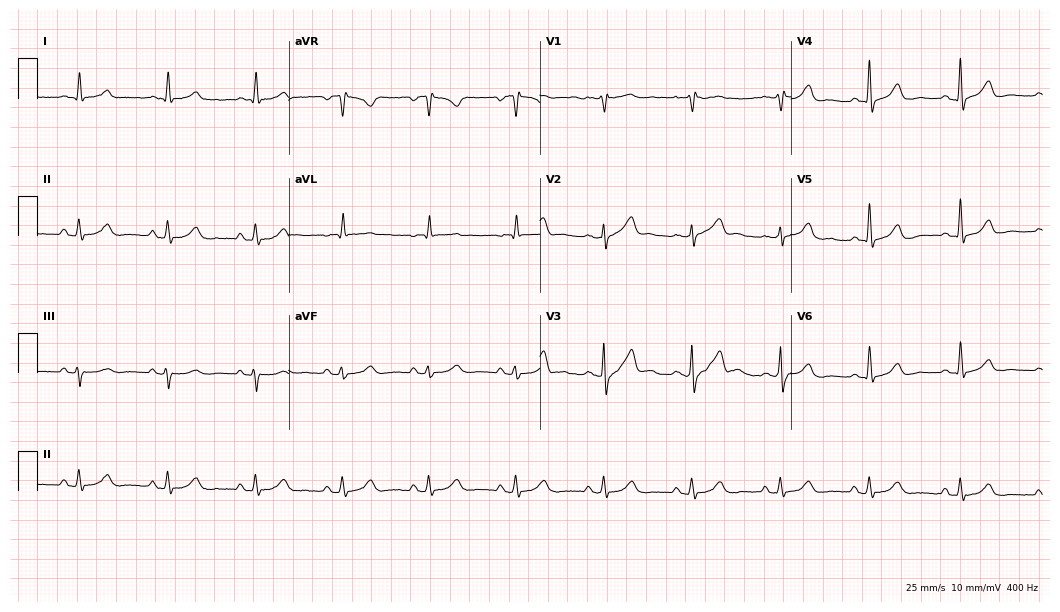
12-lead ECG from a man, 76 years old (10.2-second recording at 400 Hz). Recorded interpretation: within normal limits.